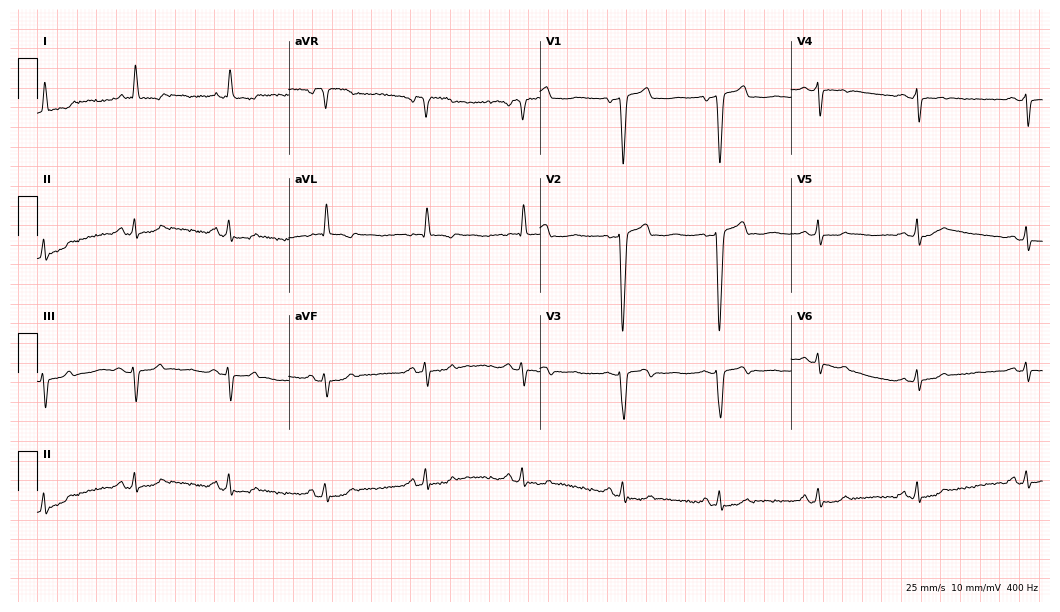
12-lead ECG from a male, 66 years old. Screened for six findings — first-degree AV block, right bundle branch block, left bundle branch block, sinus bradycardia, atrial fibrillation, sinus tachycardia — none is recorded.